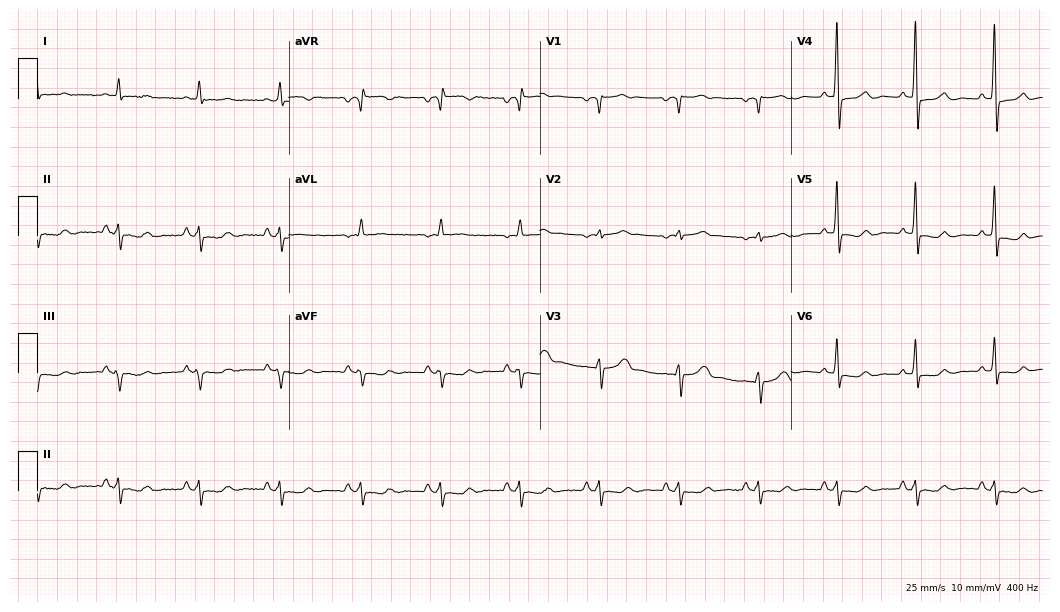
12-lead ECG from a male patient, 64 years old. Screened for six findings — first-degree AV block, right bundle branch block (RBBB), left bundle branch block (LBBB), sinus bradycardia, atrial fibrillation (AF), sinus tachycardia — none is recorded.